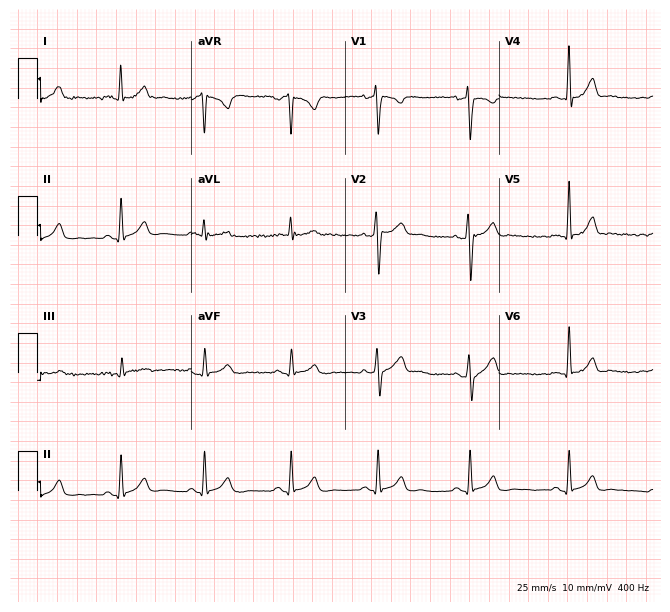
ECG — a male, 24 years old. Screened for six findings — first-degree AV block, right bundle branch block (RBBB), left bundle branch block (LBBB), sinus bradycardia, atrial fibrillation (AF), sinus tachycardia — none is recorded. Only these six findings were labelled.